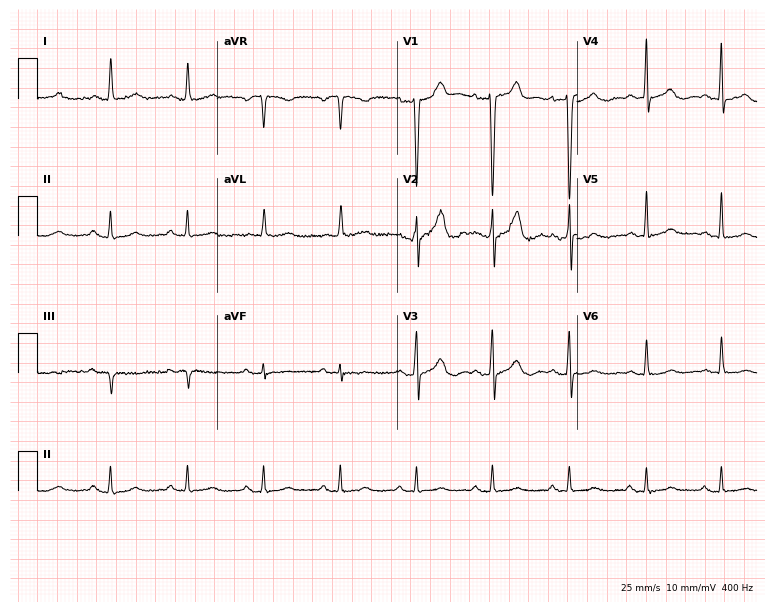
Resting 12-lead electrocardiogram. Patient: an 80-year-old male. None of these six findings is recorded: first-degree AV block, right bundle branch block, left bundle branch block, sinus bradycardia, atrial fibrillation, sinus tachycardia. Findings outside these six are not listed.